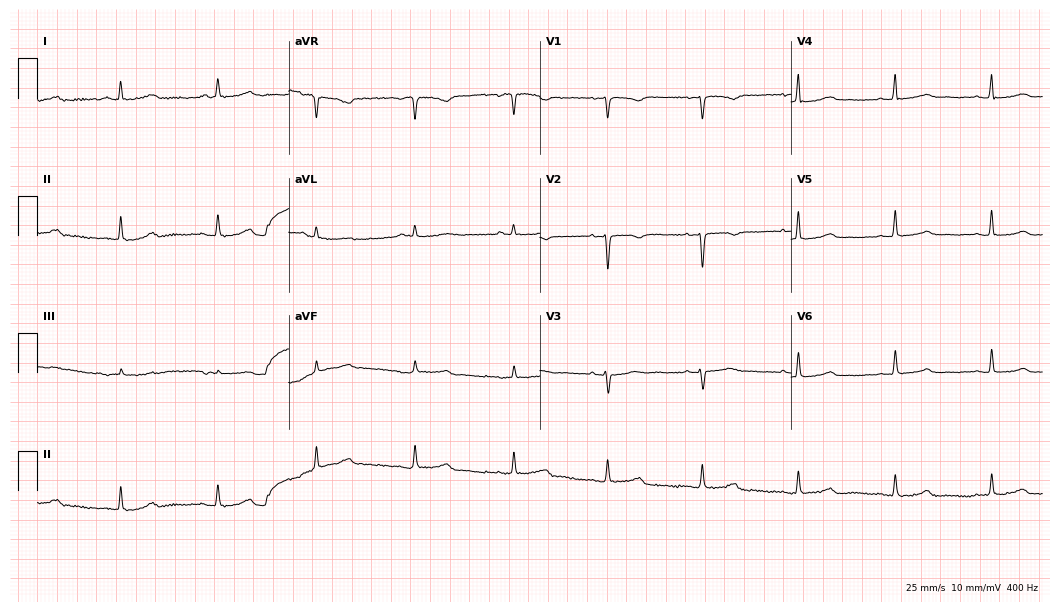
ECG (10.2-second recording at 400 Hz) — a woman, 47 years old. Screened for six findings — first-degree AV block, right bundle branch block, left bundle branch block, sinus bradycardia, atrial fibrillation, sinus tachycardia — none is recorded.